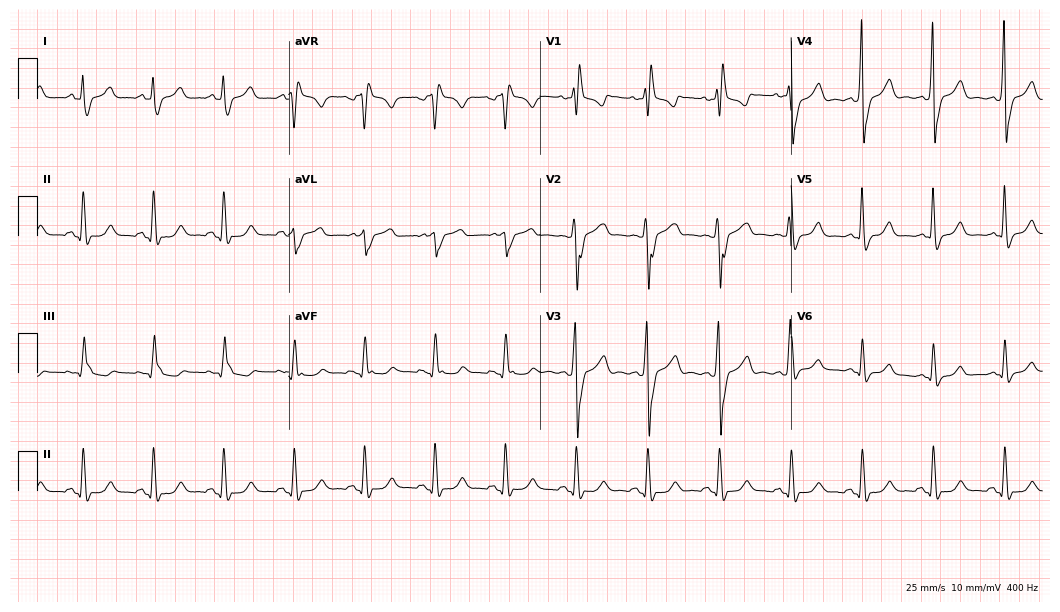
12-lead ECG from a man, 59 years old (10.2-second recording at 400 Hz). Shows right bundle branch block.